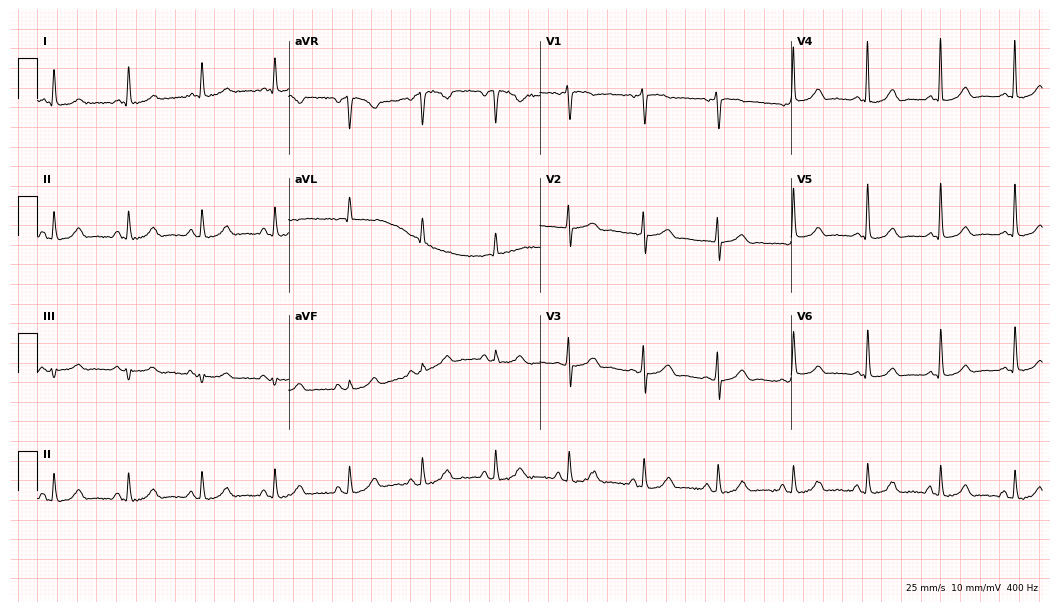
12-lead ECG from a 79-year-old female. Labelled as a normal ECG.